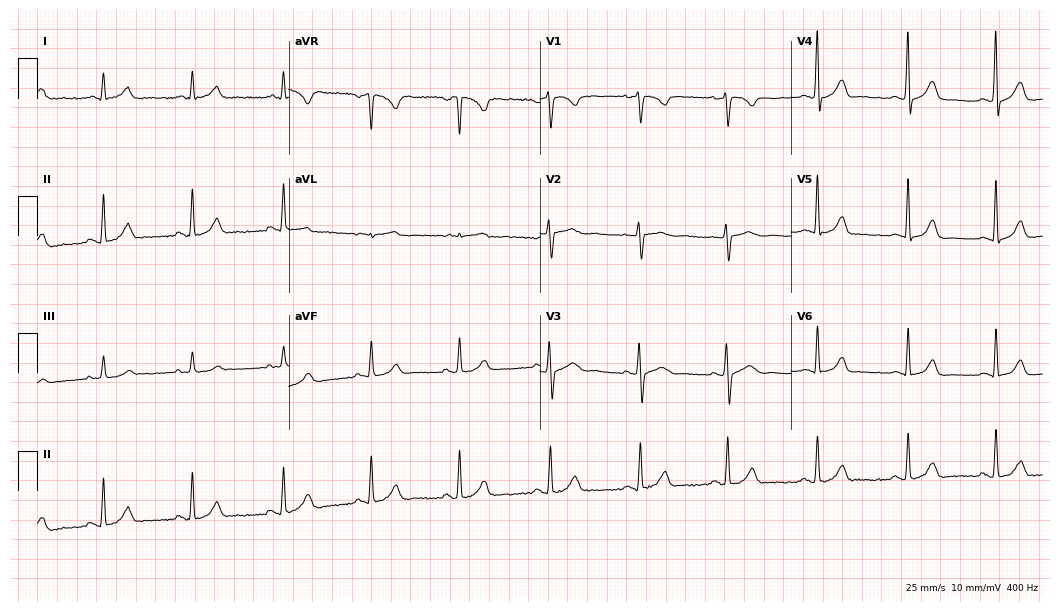
12-lead ECG (10.2-second recording at 400 Hz) from a woman, 37 years old. Labelled as a normal ECG.